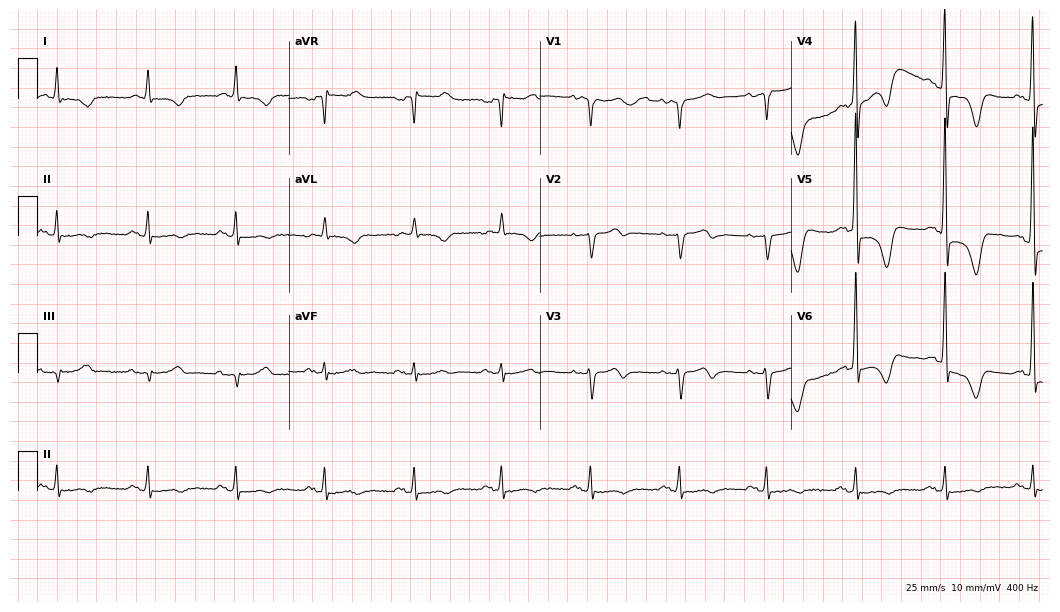
Electrocardiogram (10.2-second recording at 400 Hz), a male patient, 79 years old. Of the six screened findings (first-degree AV block, right bundle branch block, left bundle branch block, sinus bradycardia, atrial fibrillation, sinus tachycardia), none is recorded. Only these six findings were labelled.